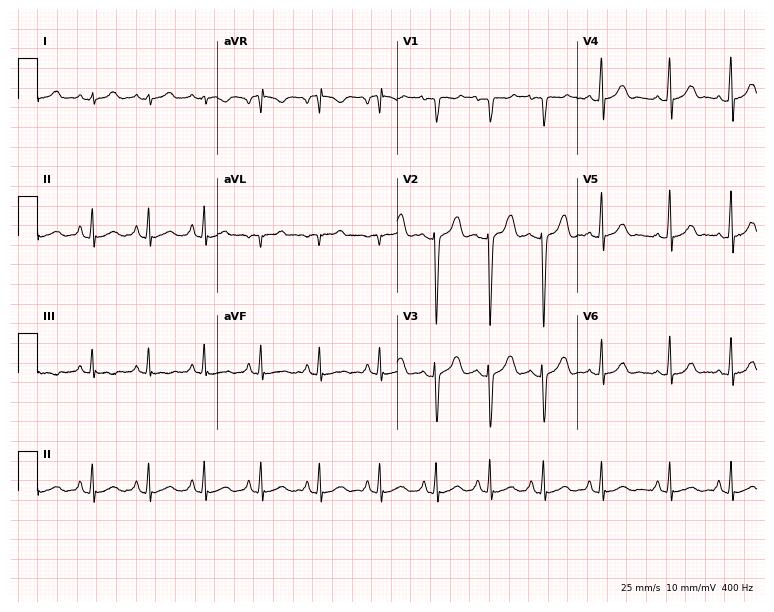
Resting 12-lead electrocardiogram. Patient: a woman, 19 years old. Read as a normal ECG.